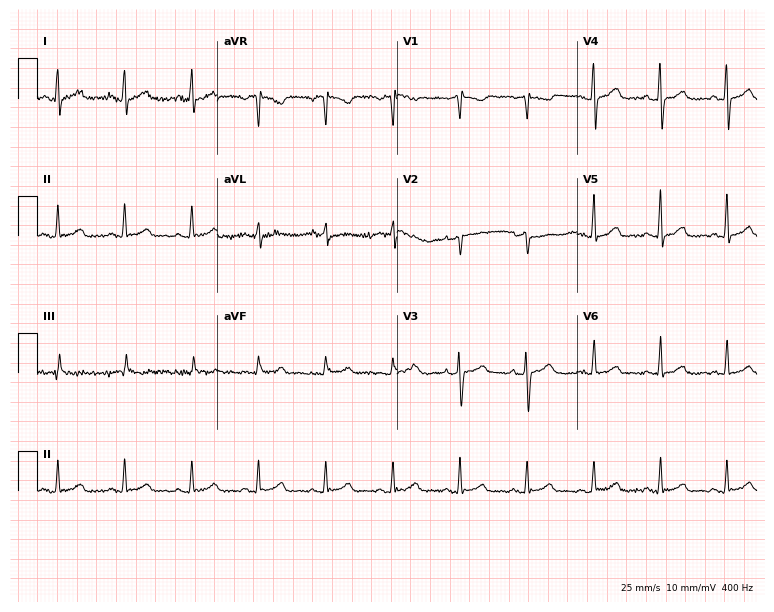
ECG (7.3-second recording at 400 Hz) — a woman, 75 years old. Screened for six findings — first-degree AV block, right bundle branch block, left bundle branch block, sinus bradycardia, atrial fibrillation, sinus tachycardia — none is recorded.